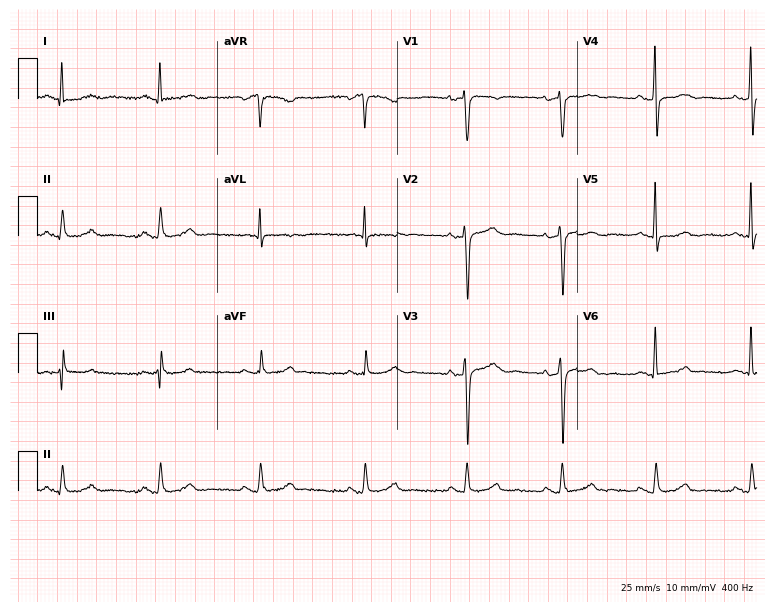
Electrocardiogram (7.3-second recording at 400 Hz), a 47-year-old woman. Of the six screened findings (first-degree AV block, right bundle branch block (RBBB), left bundle branch block (LBBB), sinus bradycardia, atrial fibrillation (AF), sinus tachycardia), none is recorded.